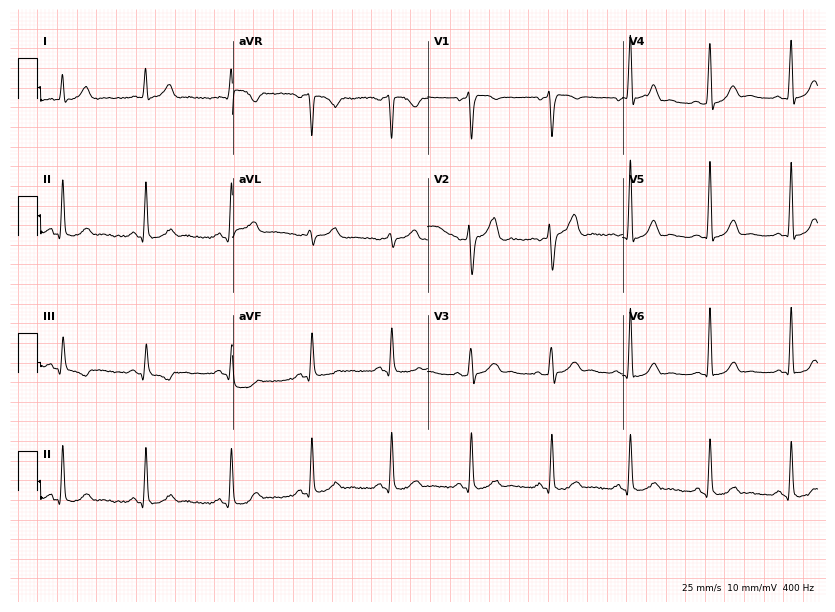
Resting 12-lead electrocardiogram (8-second recording at 400 Hz). Patient: a 48-year-old male. None of these six findings is recorded: first-degree AV block, right bundle branch block (RBBB), left bundle branch block (LBBB), sinus bradycardia, atrial fibrillation (AF), sinus tachycardia.